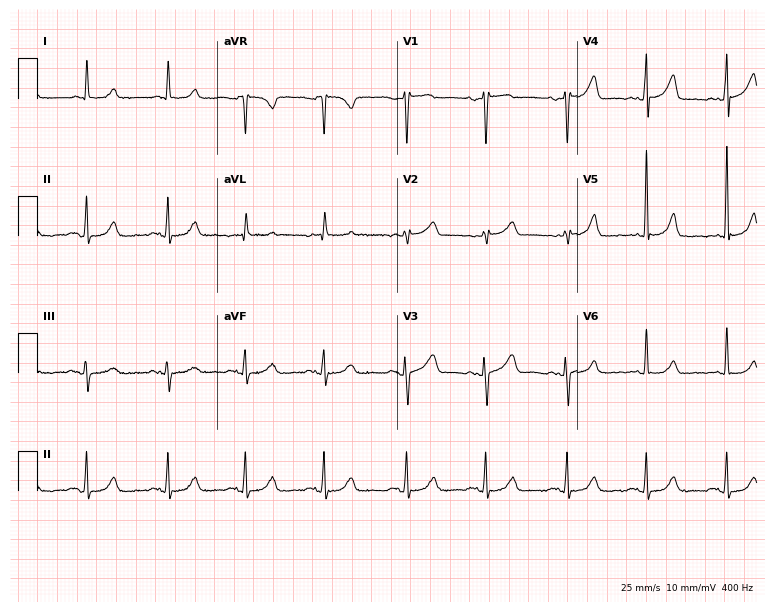
Electrocardiogram, a 73-year-old female. Overall reading on record: normal ECG.